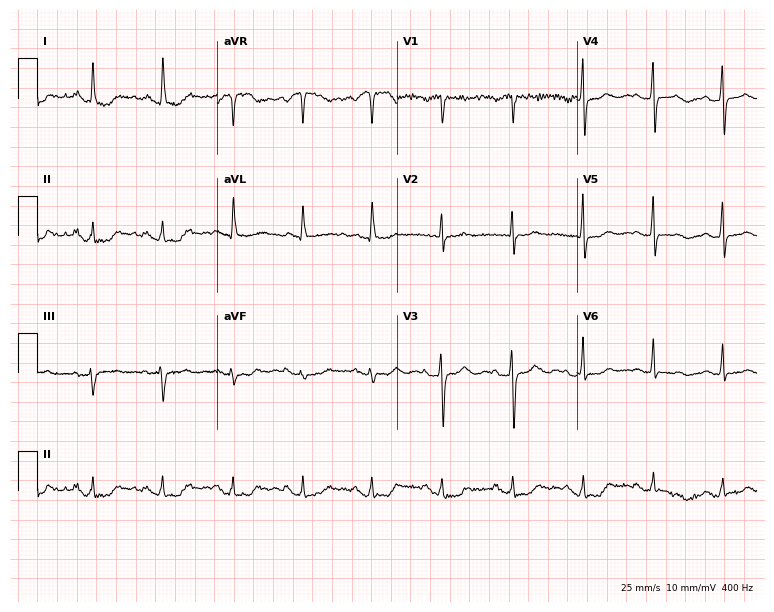
12-lead ECG from a 74-year-old female patient. Recorded interpretation: within normal limits.